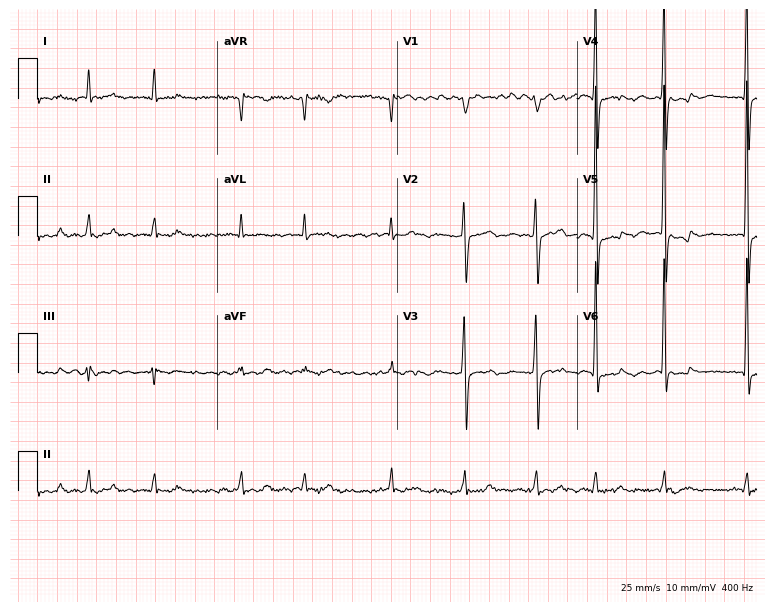
ECG — a man, 60 years old. Findings include atrial fibrillation (AF).